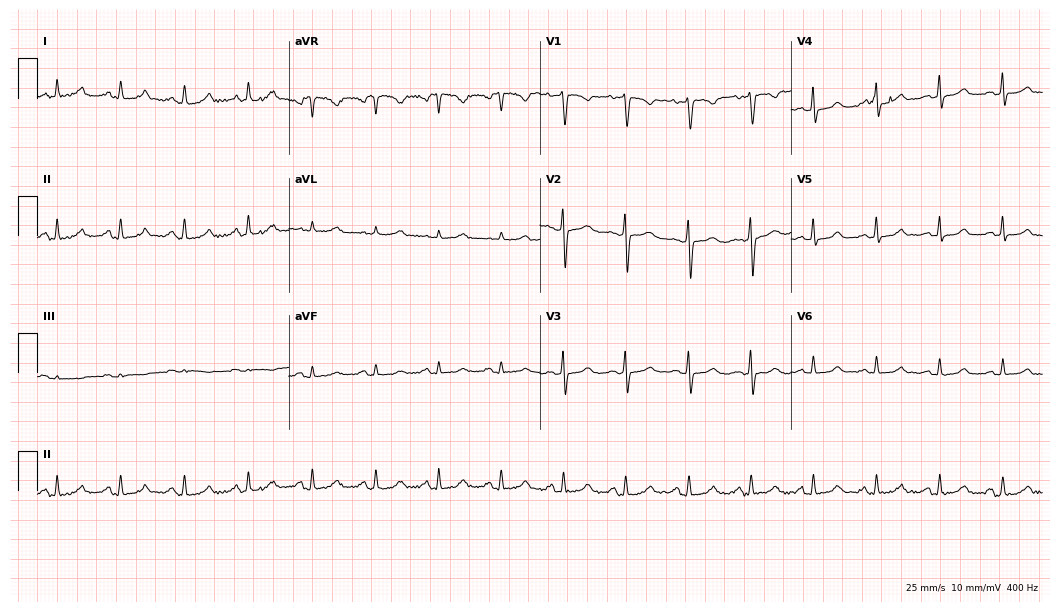
ECG — a woman, 49 years old. Labelled as a normal ECG.